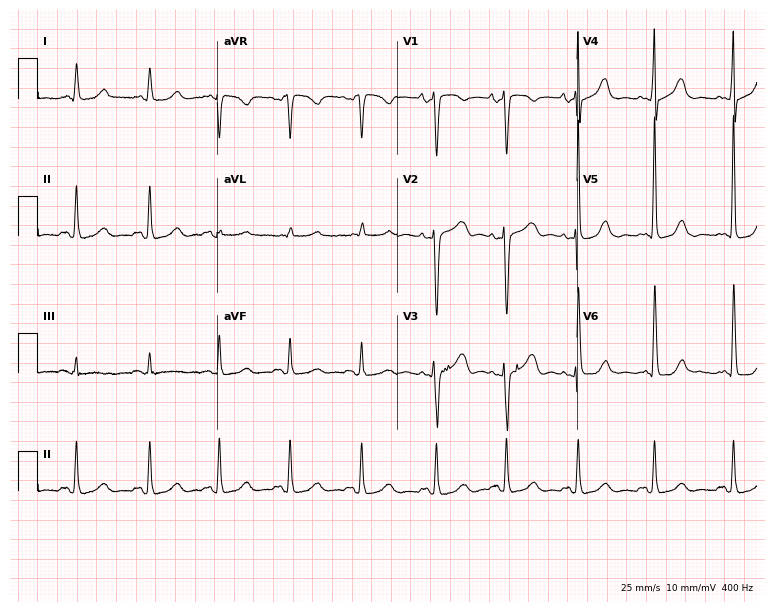
Electrocardiogram (7.3-second recording at 400 Hz), a woman, 67 years old. Of the six screened findings (first-degree AV block, right bundle branch block (RBBB), left bundle branch block (LBBB), sinus bradycardia, atrial fibrillation (AF), sinus tachycardia), none is recorded. Other findings, if any, are not listed.